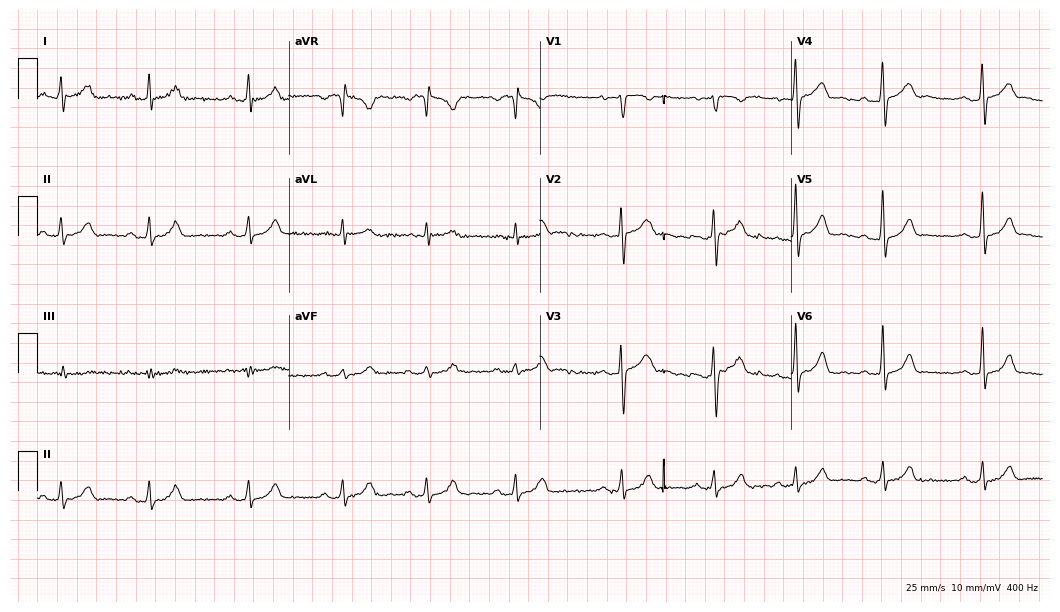
Electrocardiogram (10.2-second recording at 400 Hz), a male, 20 years old. Overall reading on record: normal ECG.